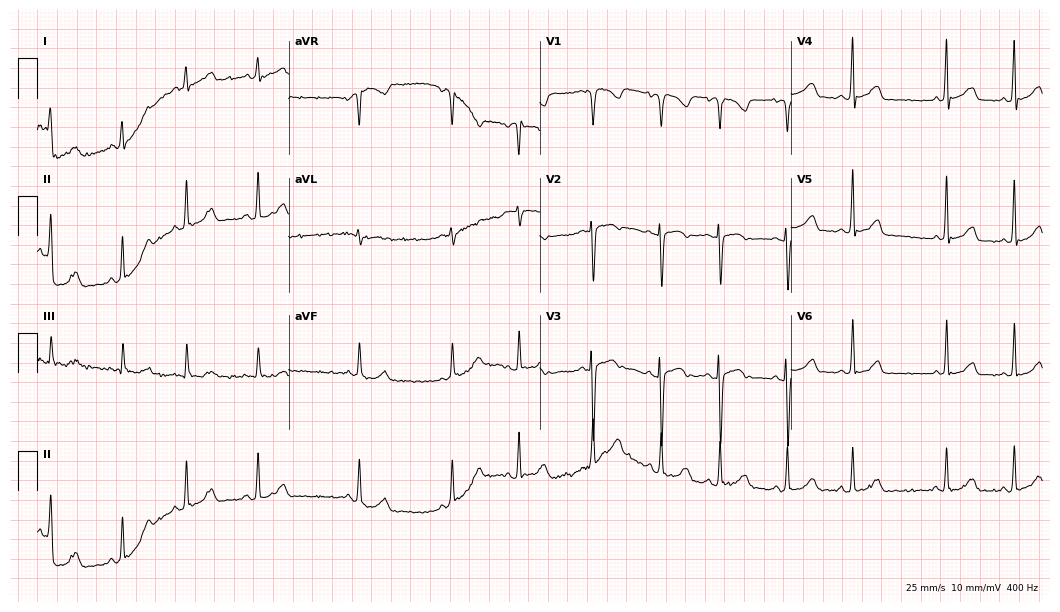
Standard 12-lead ECG recorded from a 34-year-old female patient. Read as a normal ECG.